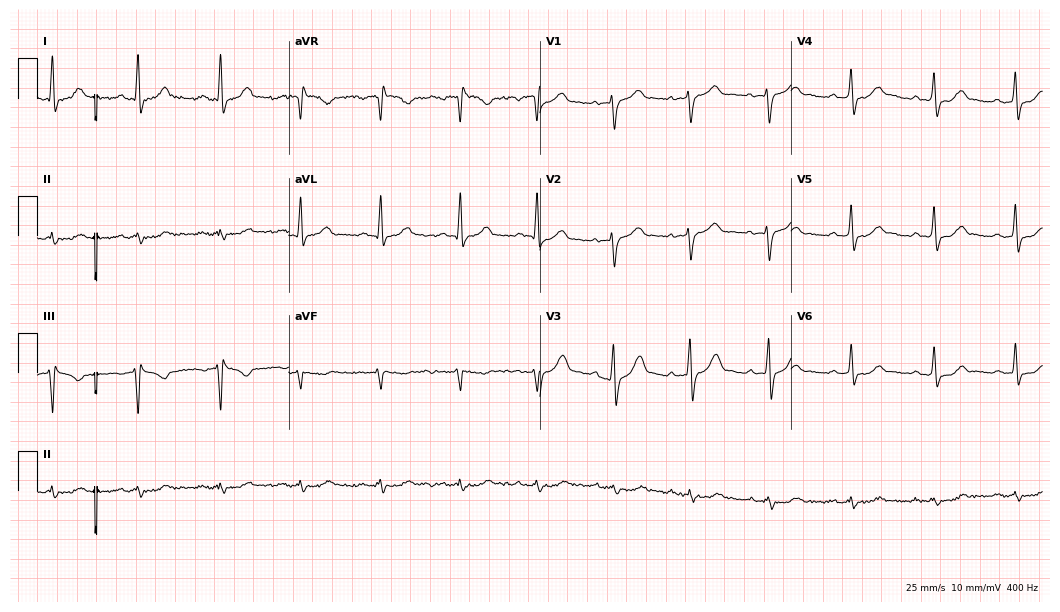
12-lead ECG (10.2-second recording at 400 Hz) from a male, 51 years old. Screened for six findings — first-degree AV block, right bundle branch block, left bundle branch block, sinus bradycardia, atrial fibrillation, sinus tachycardia — none is recorded.